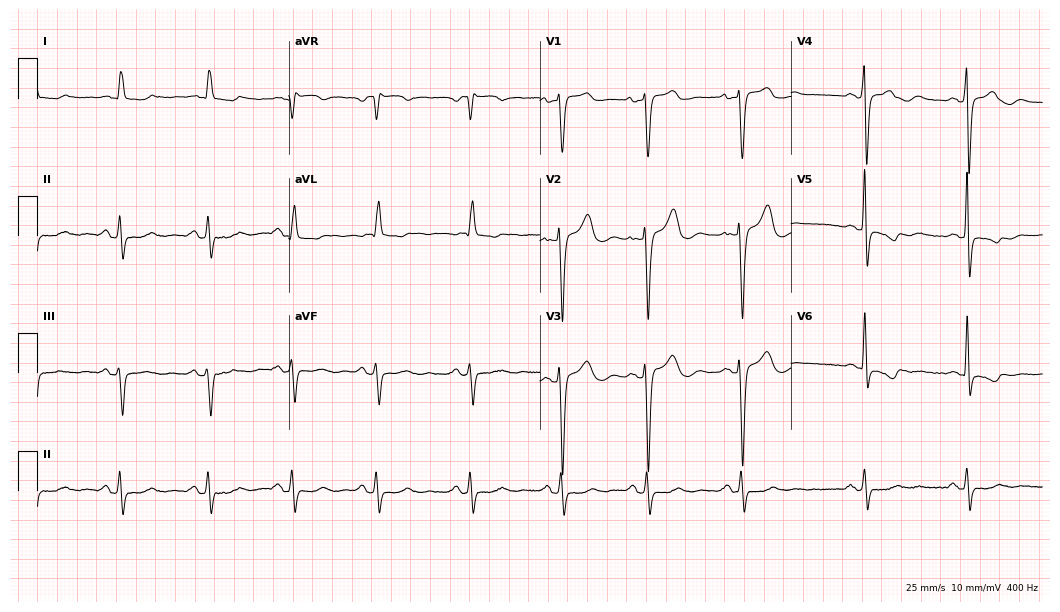
12-lead ECG from a female, 54 years old (10.2-second recording at 400 Hz). No first-degree AV block, right bundle branch block, left bundle branch block, sinus bradycardia, atrial fibrillation or sinus tachycardia recorded for this tracing. Findings outside these six are not listed.